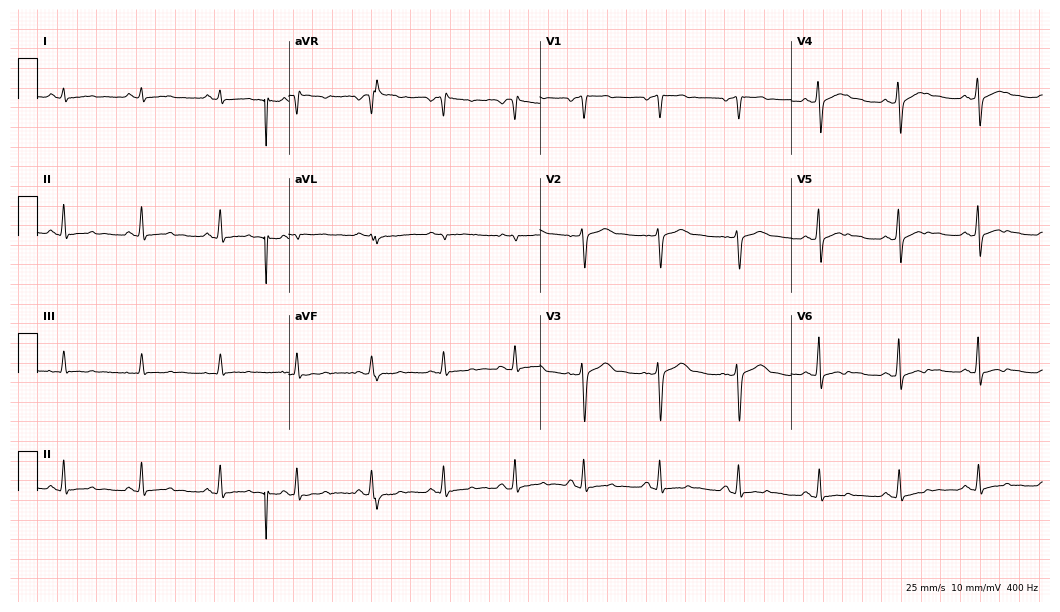
Standard 12-lead ECG recorded from a 39-year-old man (10.2-second recording at 400 Hz). None of these six findings is recorded: first-degree AV block, right bundle branch block, left bundle branch block, sinus bradycardia, atrial fibrillation, sinus tachycardia. Only these six findings were labelled.